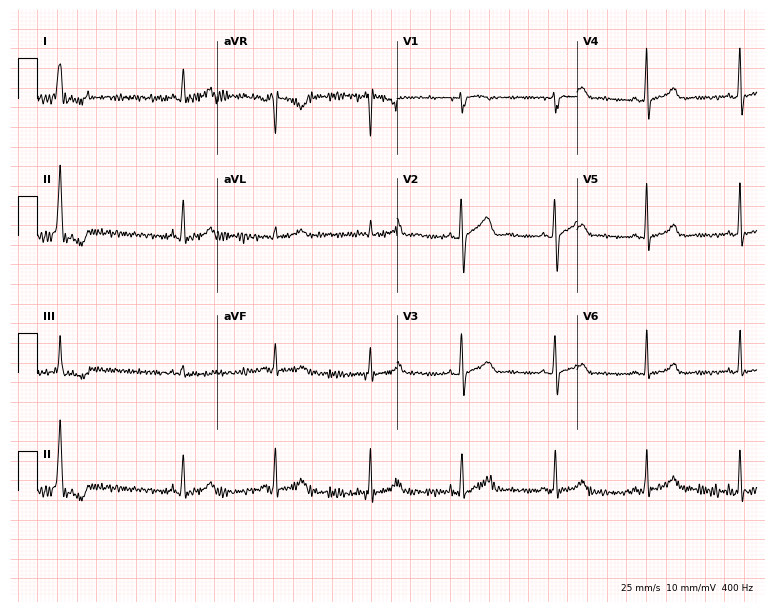
ECG (7.3-second recording at 400 Hz) — a 44-year-old female patient. Labelled as a normal ECG.